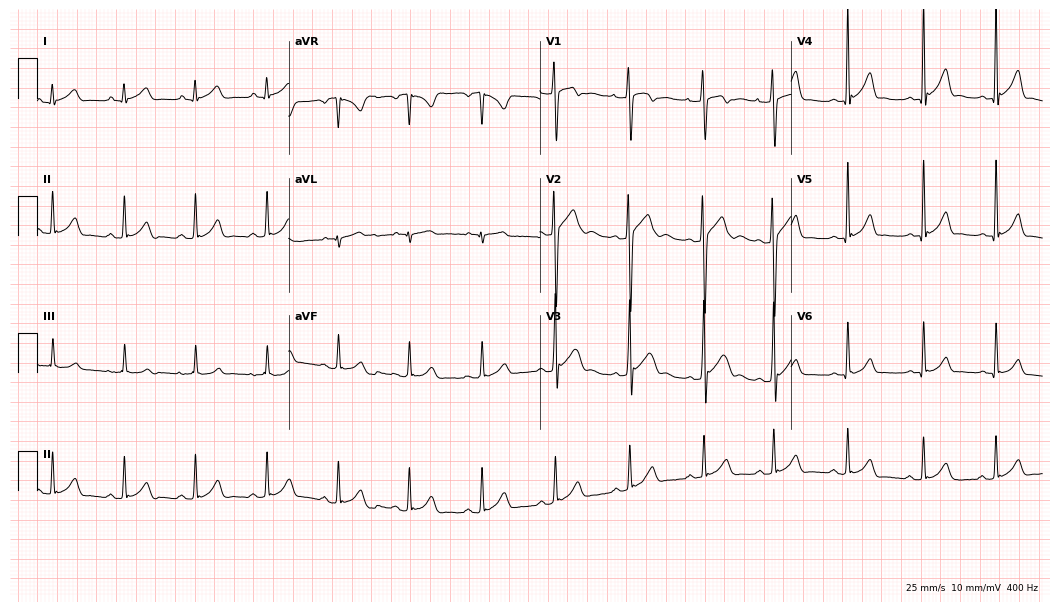
Resting 12-lead electrocardiogram. Patient: a 19-year-old man. Read as a normal ECG.